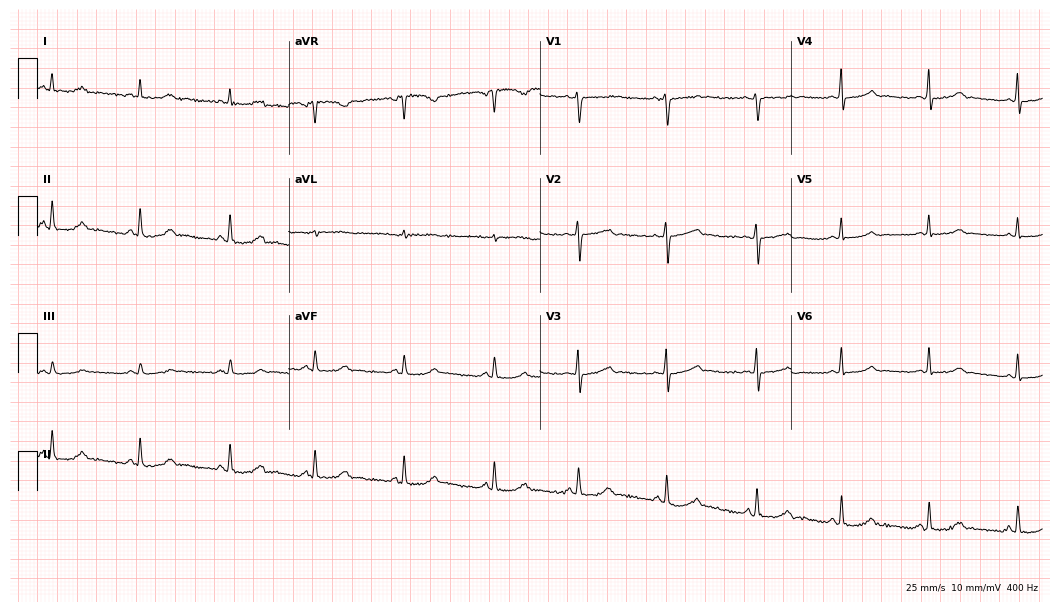
ECG — a woman, 39 years old. Screened for six findings — first-degree AV block, right bundle branch block, left bundle branch block, sinus bradycardia, atrial fibrillation, sinus tachycardia — none is recorded. Only these six findings were labelled.